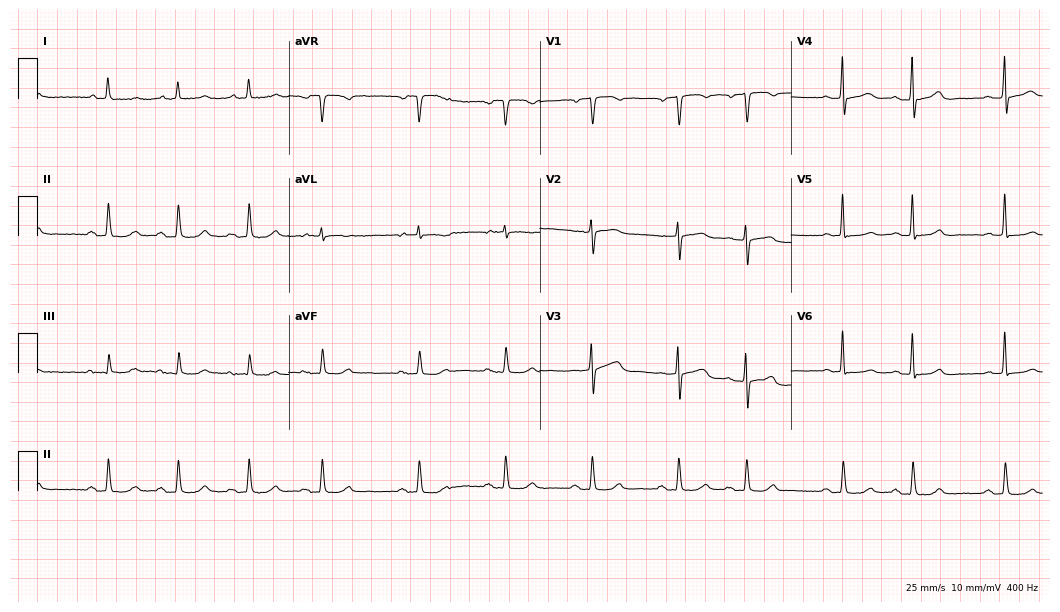
12-lead ECG from a male, 80 years old. Screened for six findings — first-degree AV block, right bundle branch block, left bundle branch block, sinus bradycardia, atrial fibrillation, sinus tachycardia — none is recorded. Other findings, if any, are not listed.